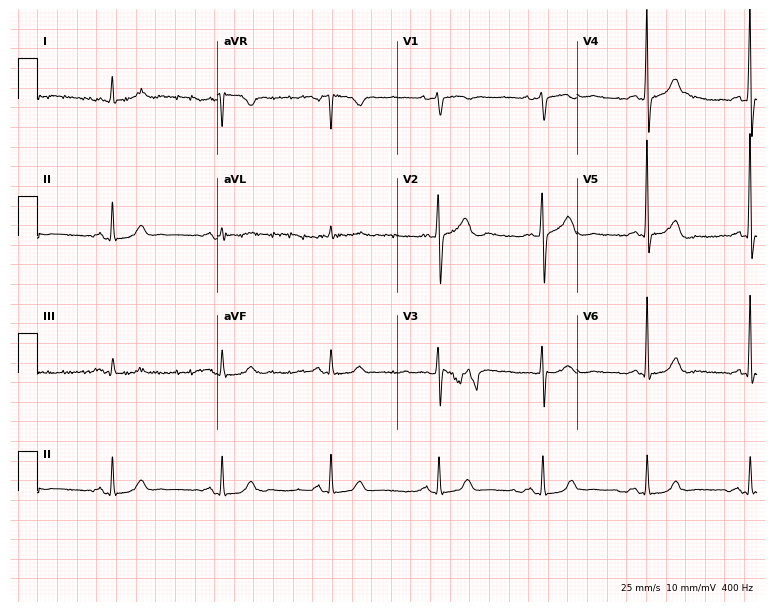
12-lead ECG from a 63-year-old male patient. Labelled as a normal ECG.